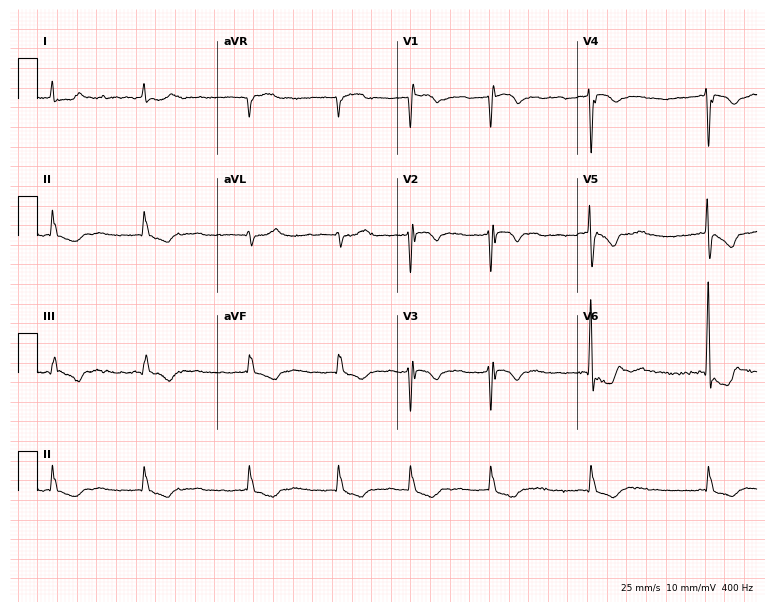
12-lead ECG from a female, 82 years old. Findings include right bundle branch block, atrial fibrillation.